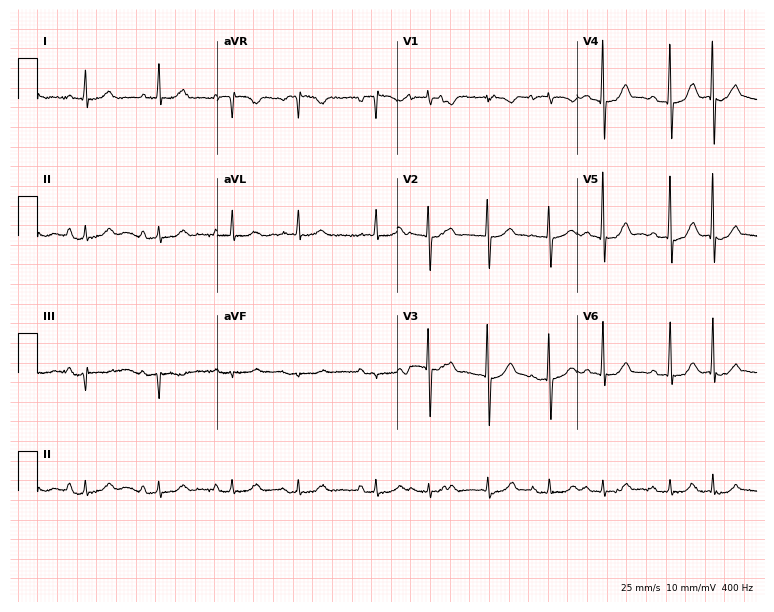
ECG — a female, 90 years old or older. Screened for six findings — first-degree AV block, right bundle branch block, left bundle branch block, sinus bradycardia, atrial fibrillation, sinus tachycardia — none is recorded.